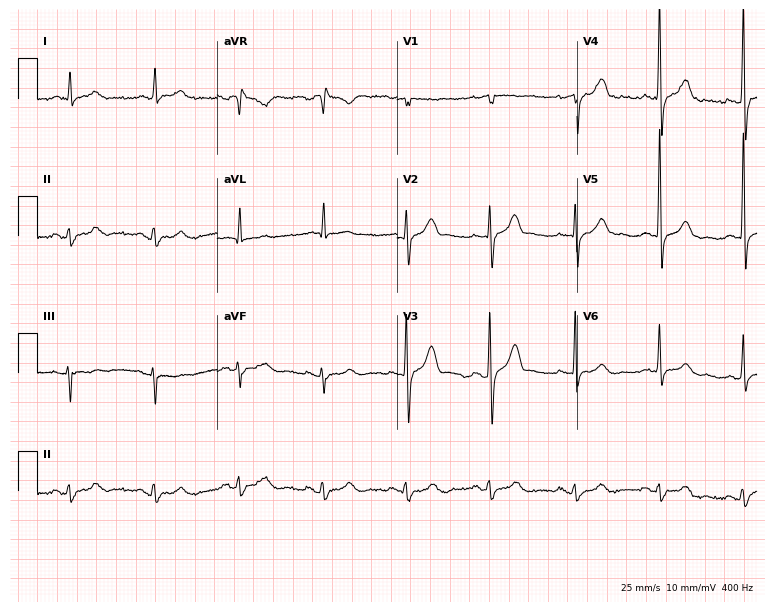
Electrocardiogram (7.3-second recording at 400 Hz), a 56-year-old male patient. Overall reading on record: normal ECG.